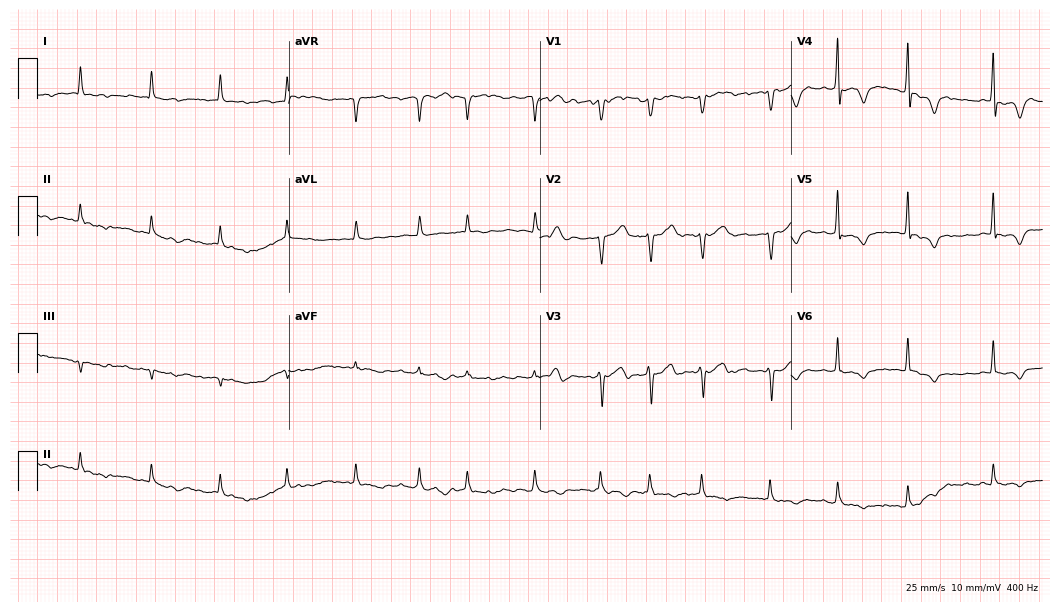
Standard 12-lead ECG recorded from a 70-year-old male. The tracing shows atrial fibrillation (AF).